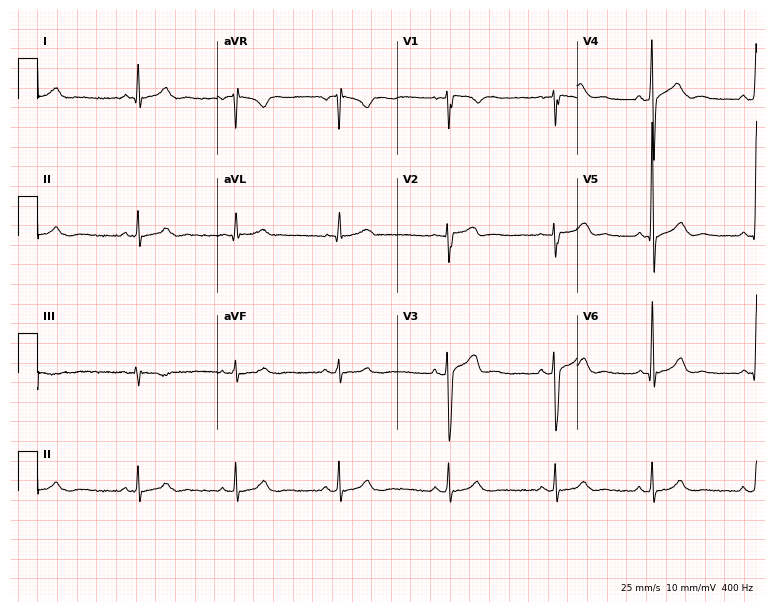
12-lead ECG from a male patient, 32 years old. No first-degree AV block, right bundle branch block (RBBB), left bundle branch block (LBBB), sinus bradycardia, atrial fibrillation (AF) or sinus tachycardia recorded for this tracing.